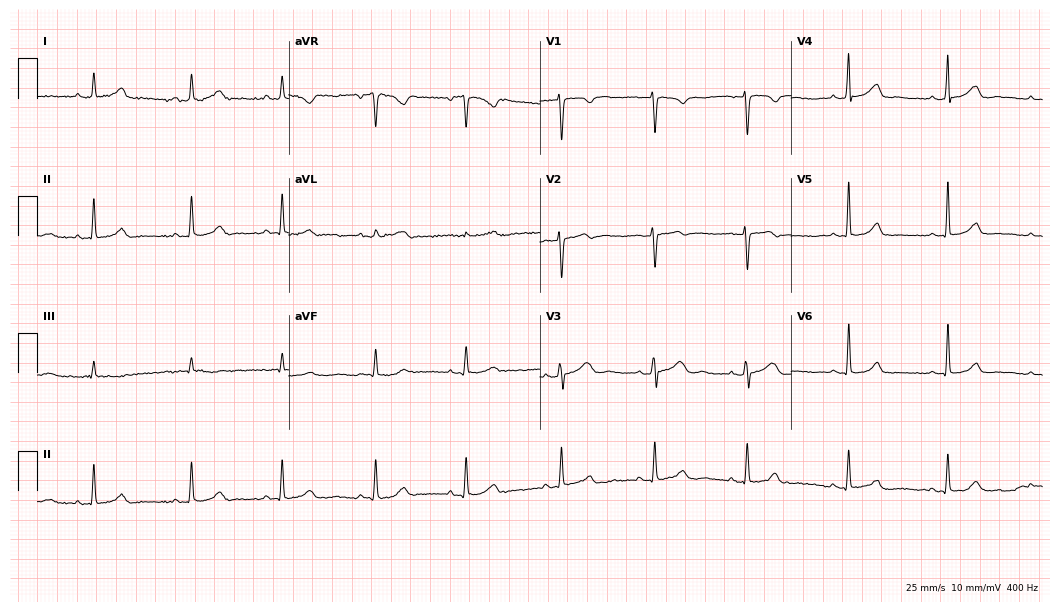
Standard 12-lead ECG recorded from a female, 34 years old (10.2-second recording at 400 Hz). Read as a normal ECG.